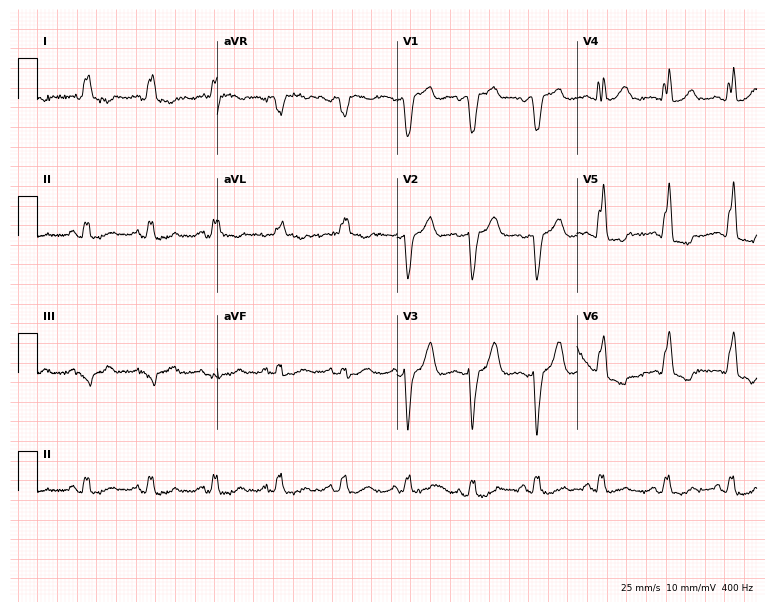
12-lead ECG from a male, 85 years old. No first-degree AV block, right bundle branch block, left bundle branch block, sinus bradycardia, atrial fibrillation or sinus tachycardia recorded for this tracing. Only these six findings were labelled.